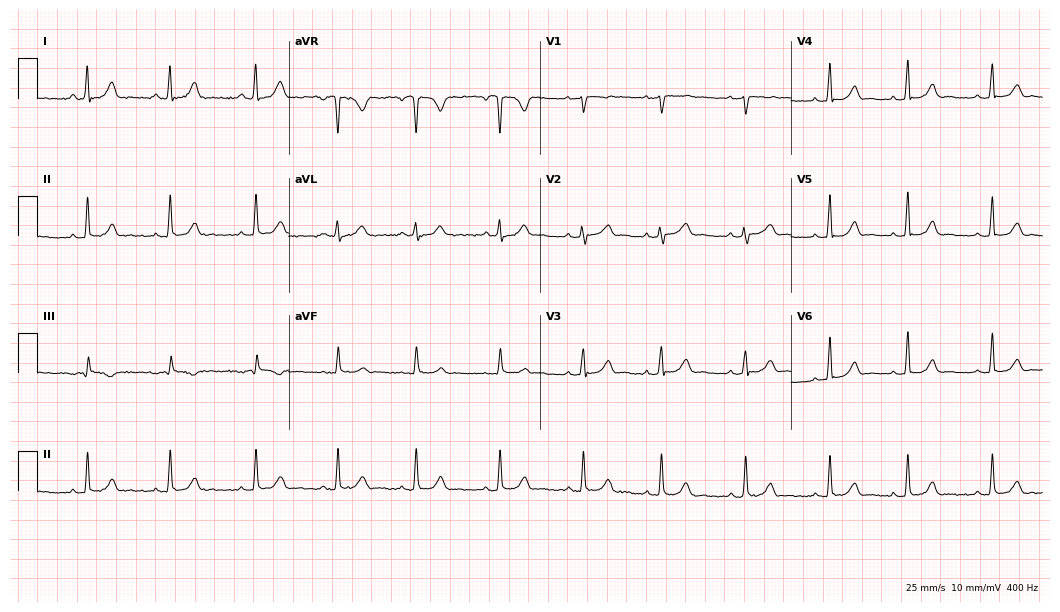
12-lead ECG (10.2-second recording at 400 Hz) from a female patient, 21 years old. Labelled as a normal ECG.